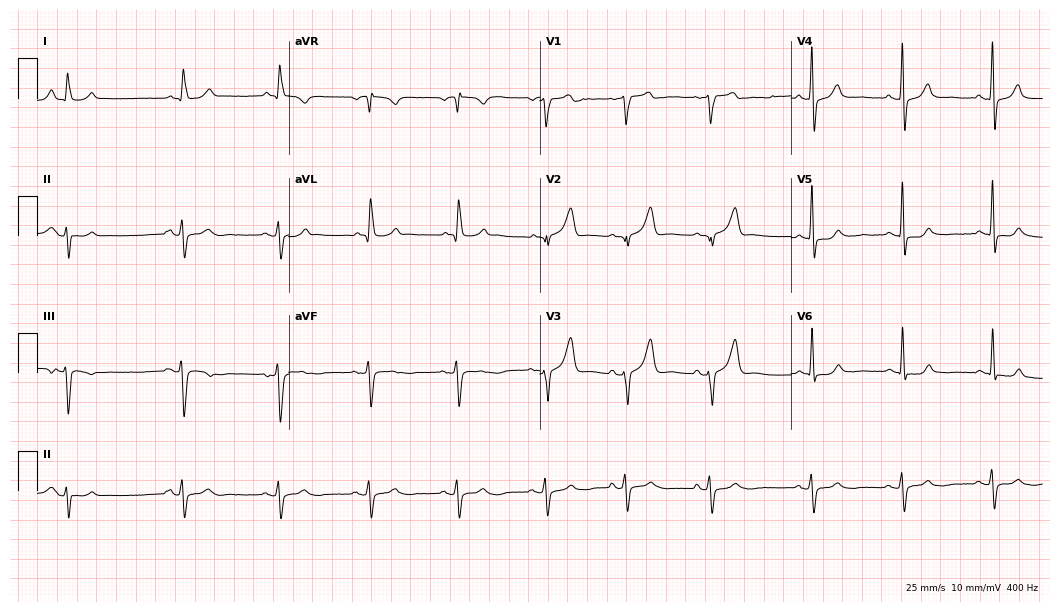
Resting 12-lead electrocardiogram. Patient: a man, 84 years old. None of these six findings is recorded: first-degree AV block, right bundle branch block, left bundle branch block, sinus bradycardia, atrial fibrillation, sinus tachycardia. Other findings, if any, are not listed.